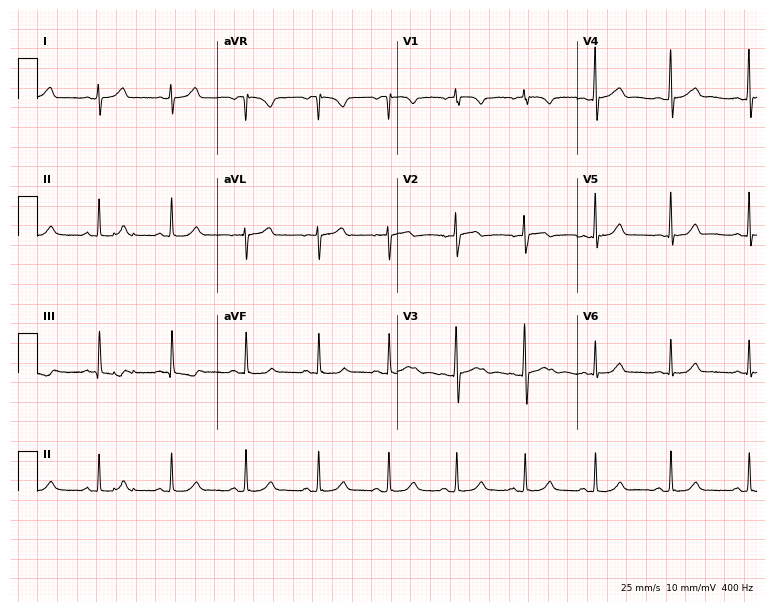
Electrocardiogram, a 22-year-old female patient. Of the six screened findings (first-degree AV block, right bundle branch block, left bundle branch block, sinus bradycardia, atrial fibrillation, sinus tachycardia), none is recorded.